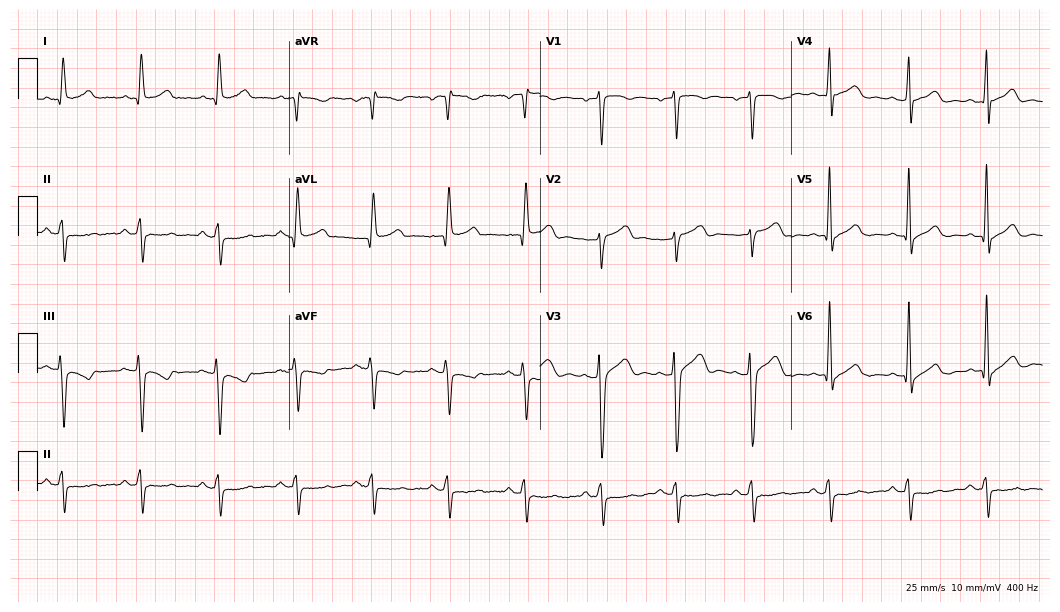
Standard 12-lead ECG recorded from a 46-year-old male patient. None of these six findings is recorded: first-degree AV block, right bundle branch block (RBBB), left bundle branch block (LBBB), sinus bradycardia, atrial fibrillation (AF), sinus tachycardia.